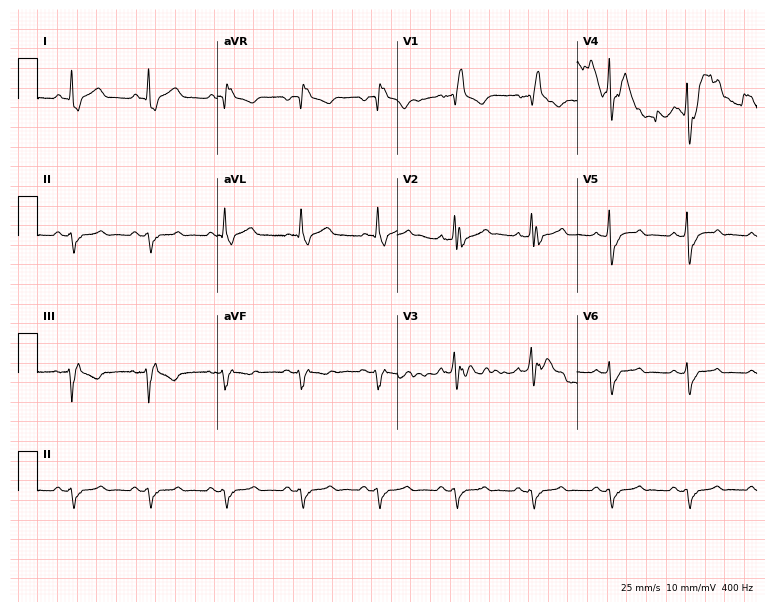
12-lead ECG (7.3-second recording at 400 Hz) from a male, 62 years old. Findings include right bundle branch block.